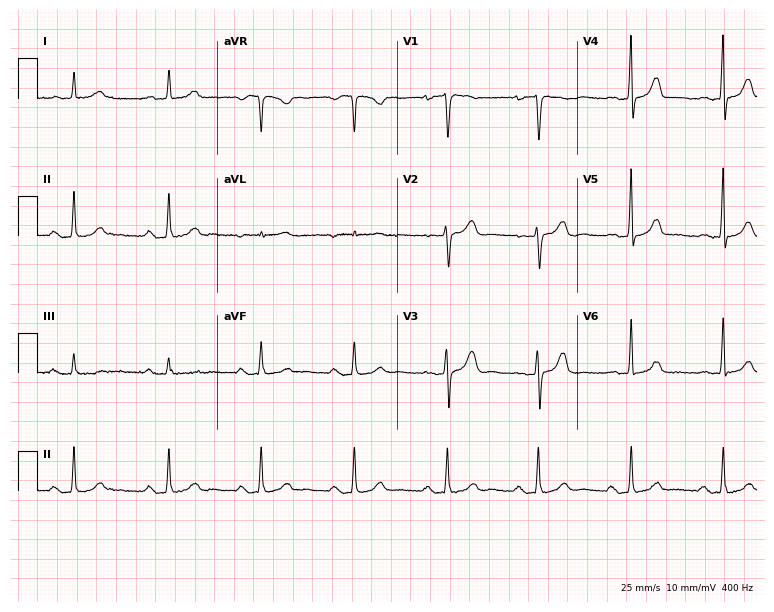
Resting 12-lead electrocardiogram. Patient: a female, 82 years old. The tracing shows first-degree AV block.